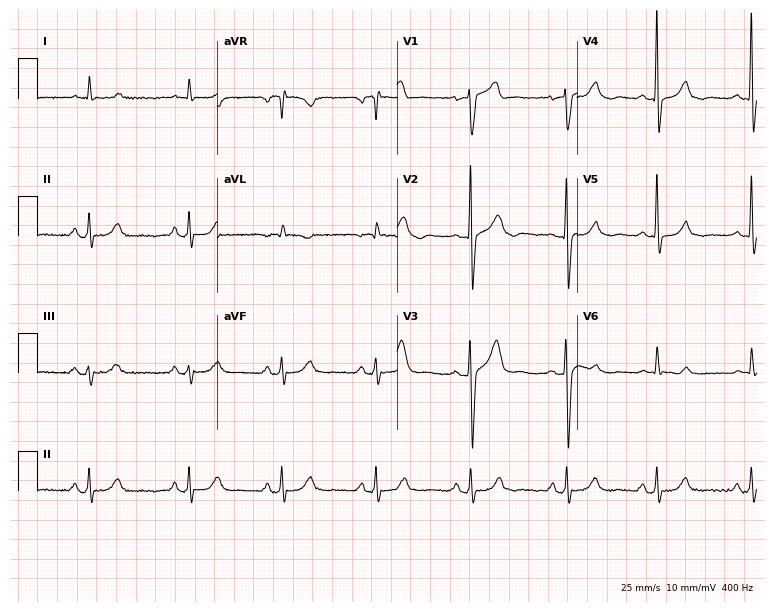
12-lead ECG from a 77-year-old male (7.3-second recording at 400 Hz). Recorded interpretation: within normal limits.